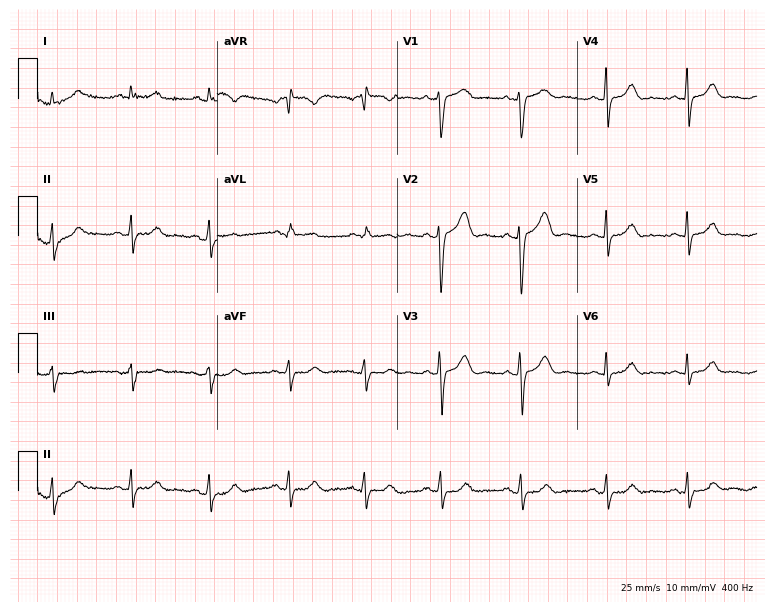
Resting 12-lead electrocardiogram (7.3-second recording at 400 Hz). Patient: a 24-year-old female. Read as a normal ECG.